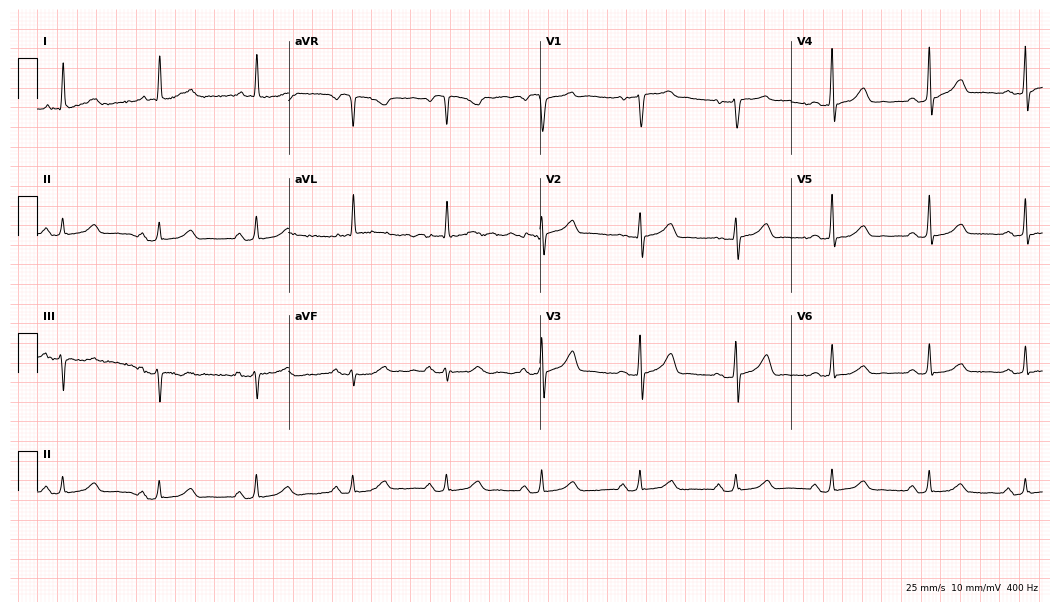
Electrocardiogram (10.2-second recording at 400 Hz), a female, 63 years old. Overall reading on record: normal ECG.